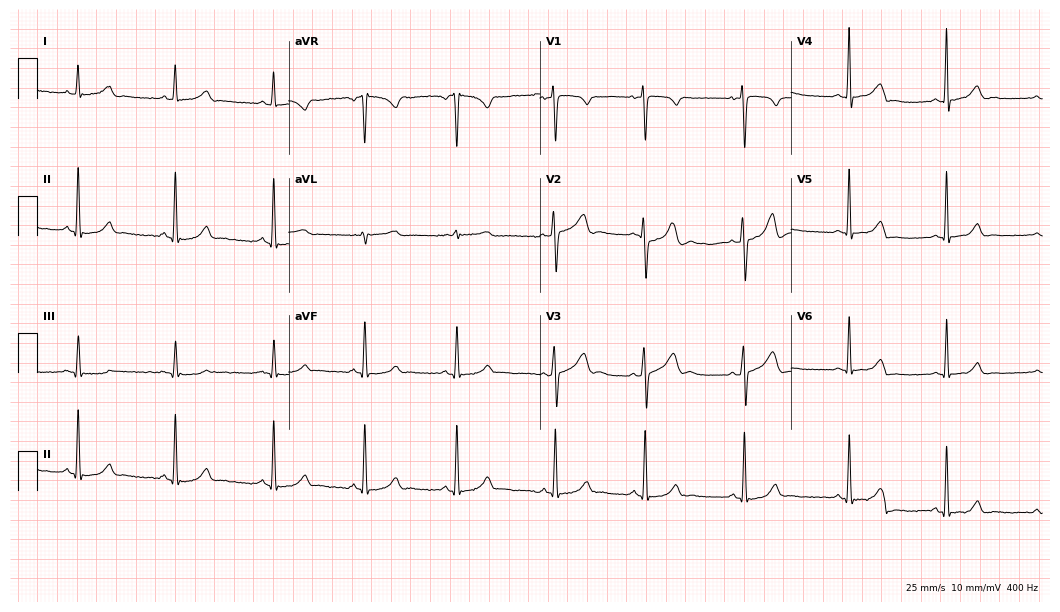
12-lead ECG from a 26-year-old female patient. Recorded interpretation: within normal limits.